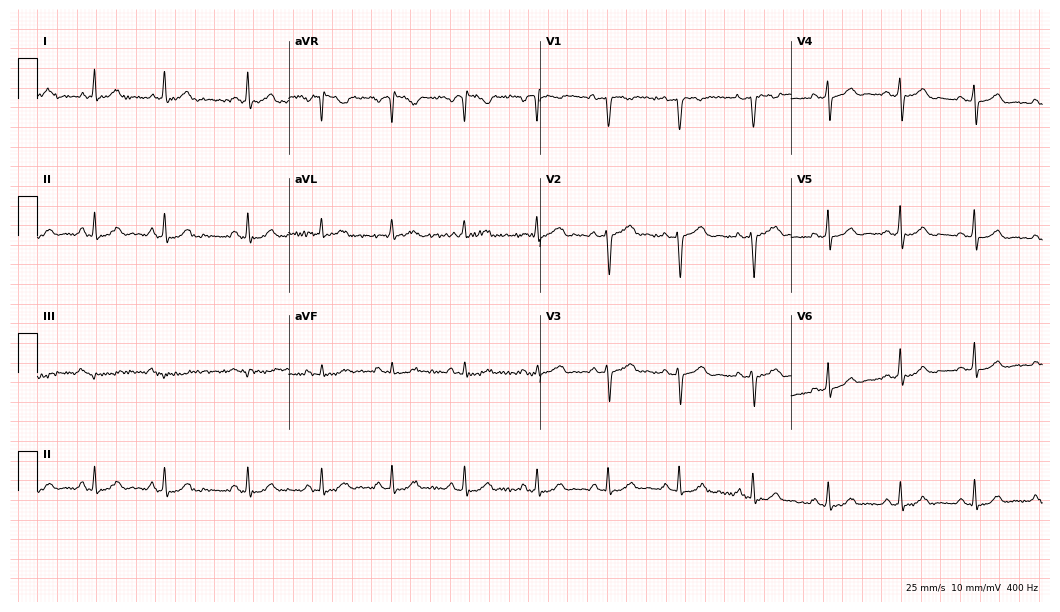
ECG (10.2-second recording at 400 Hz) — a female patient, 41 years old. Screened for six findings — first-degree AV block, right bundle branch block, left bundle branch block, sinus bradycardia, atrial fibrillation, sinus tachycardia — none is recorded. Findings outside these six are not listed.